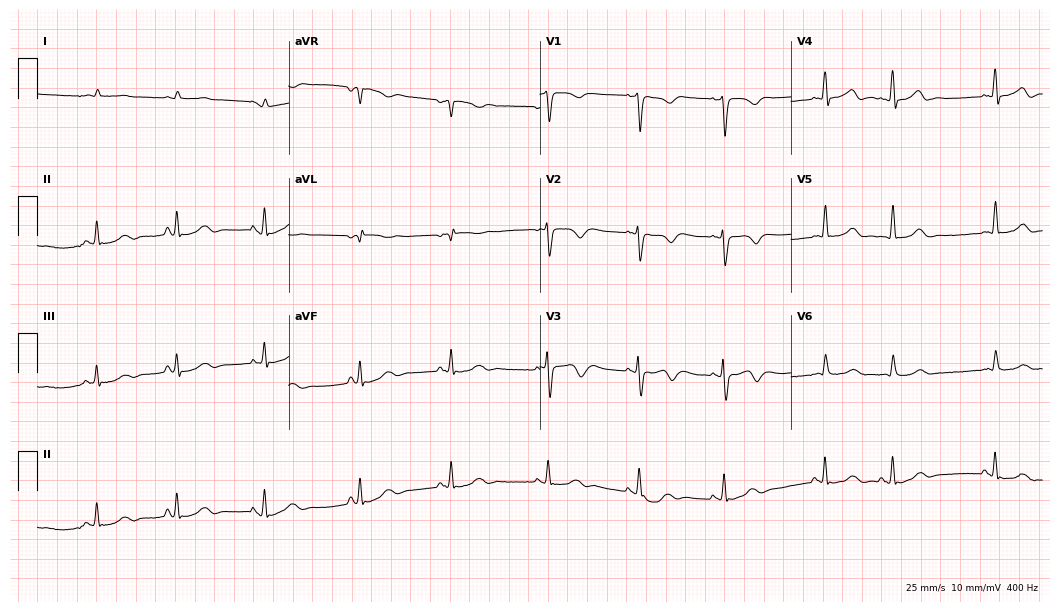
Standard 12-lead ECG recorded from a man, 84 years old. None of these six findings is recorded: first-degree AV block, right bundle branch block, left bundle branch block, sinus bradycardia, atrial fibrillation, sinus tachycardia. Other findings, if any, are not listed.